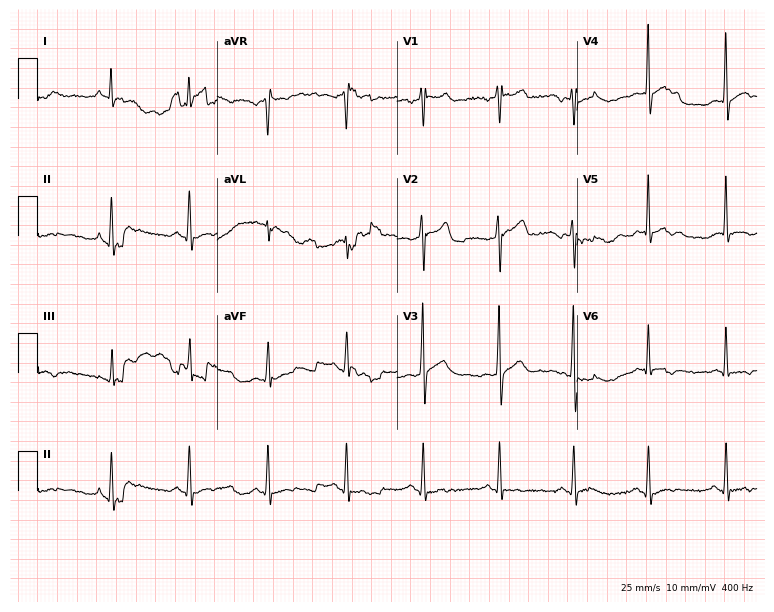
12-lead ECG from a 41-year-old male patient. No first-degree AV block, right bundle branch block, left bundle branch block, sinus bradycardia, atrial fibrillation or sinus tachycardia recorded for this tracing.